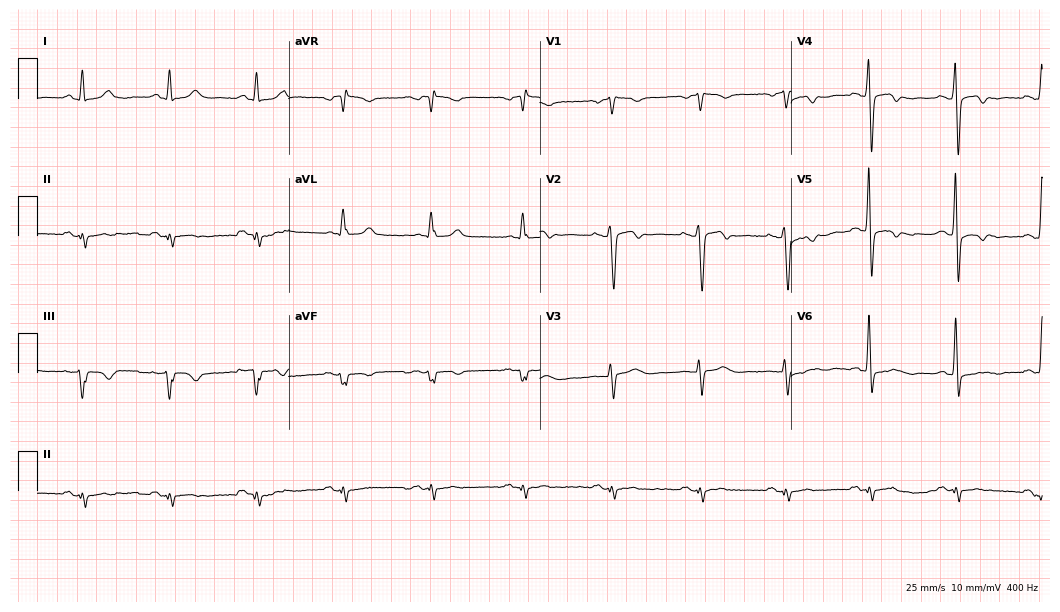
12-lead ECG from a 57-year-old female. No first-degree AV block, right bundle branch block, left bundle branch block, sinus bradycardia, atrial fibrillation or sinus tachycardia recorded for this tracing. Other findings, if any, are not listed.